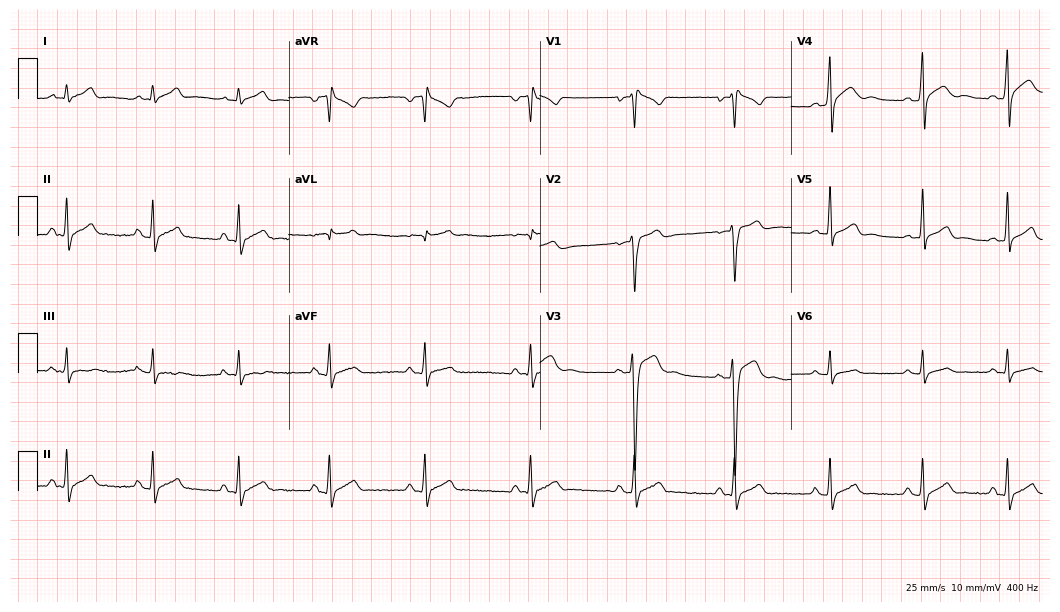
12-lead ECG from a male, 21 years old (10.2-second recording at 400 Hz). No first-degree AV block, right bundle branch block, left bundle branch block, sinus bradycardia, atrial fibrillation or sinus tachycardia recorded for this tracing. Findings outside these six are not listed.